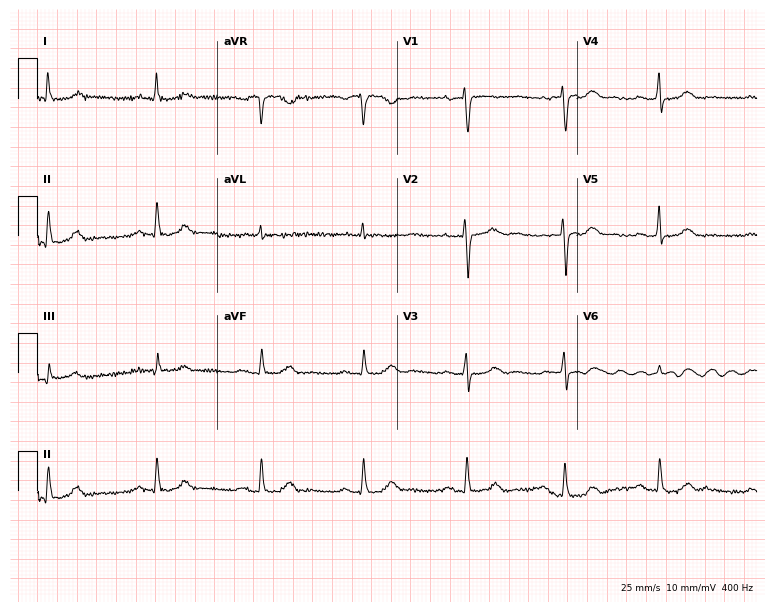
12-lead ECG from a 60-year-old female patient (7.3-second recording at 400 Hz). Recorded interpretation: within normal limits.